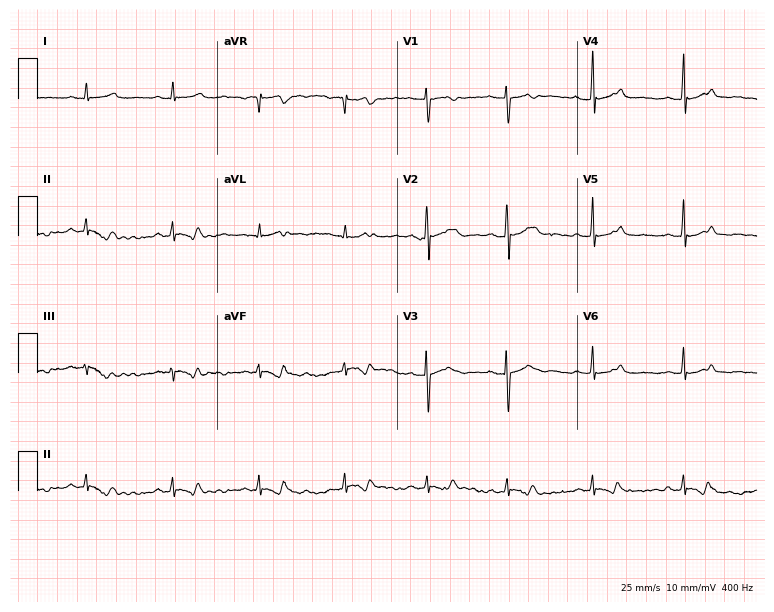
12-lead ECG from a female, 25 years old. Recorded interpretation: within normal limits.